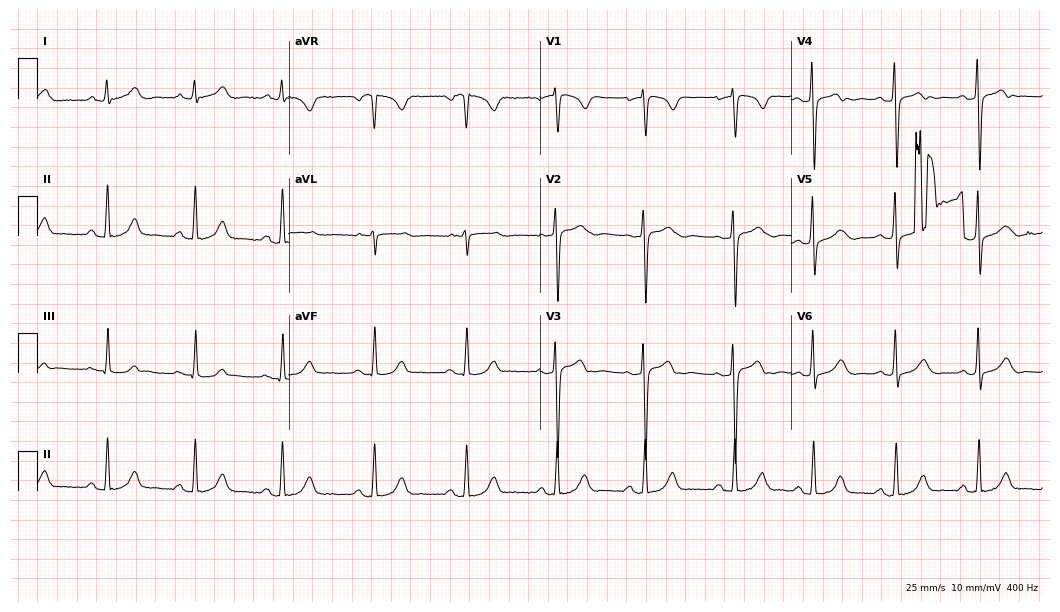
12-lead ECG from a female, 41 years old (10.2-second recording at 400 Hz). No first-degree AV block, right bundle branch block (RBBB), left bundle branch block (LBBB), sinus bradycardia, atrial fibrillation (AF) or sinus tachycardia recorded for this tracing. Only these six findings were labelled.